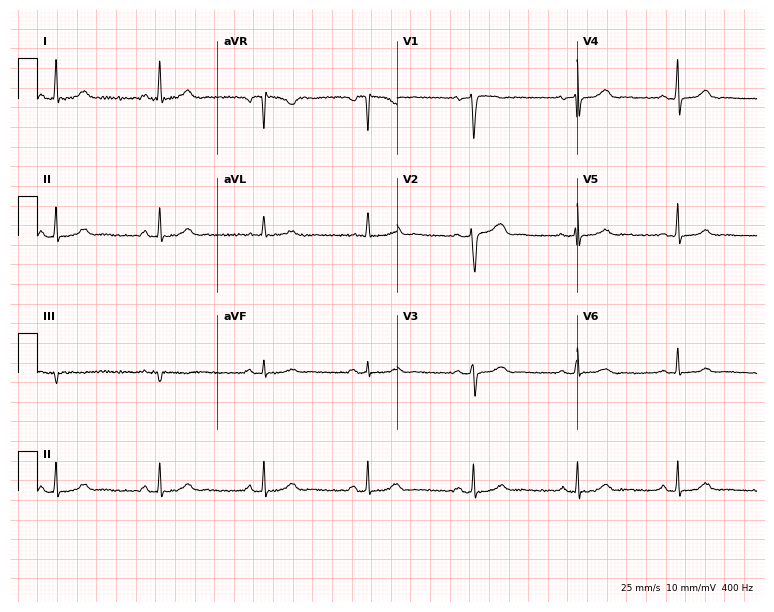
Electrocardiogram, a 57-year-old female patient. Overall reading on record: normal ECG.